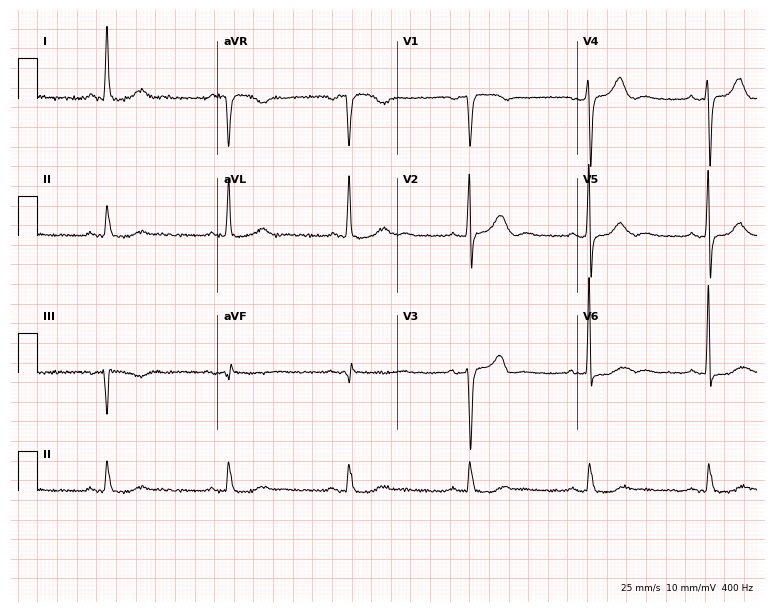
ECG — a 76-year-old man. Findings include right bundle branch block (RBBB).